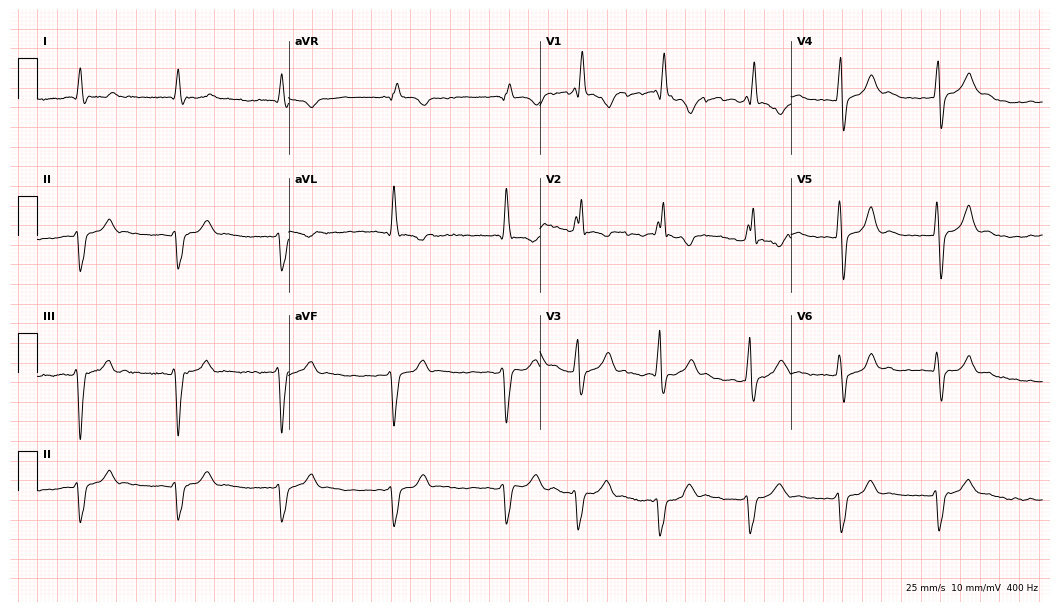
ECG — a 71-year-old man. Findings include right bundle branch block (RBBB), atrial fibrillation (AF).